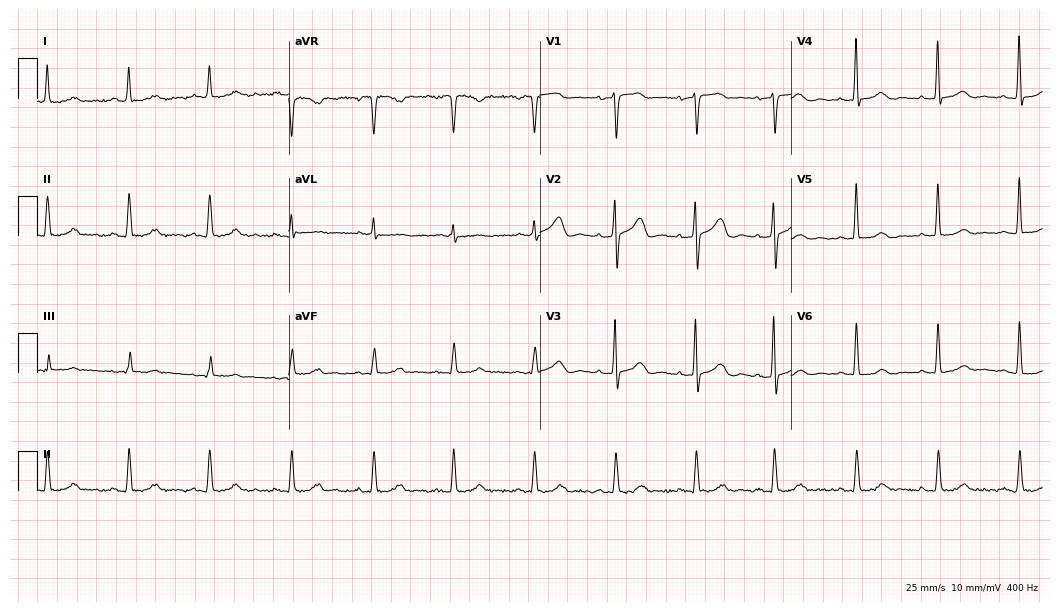
Electrocardiogram (10.2-second recording at 400 Hz), a female, 82 years old. Overall reading on record: normal ECG.